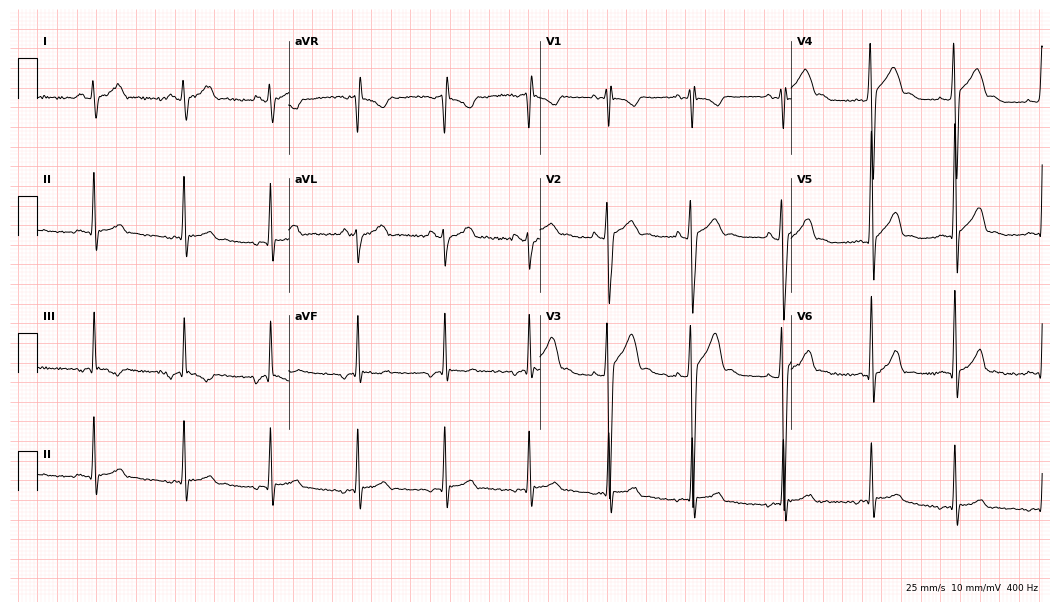
Standard 12-lead ECG recorded from a male patient, 17 years old. None of these six findings is recorded: first-degree AV block, right bundle branch block, left bundle branch block, sinus bradycardia, atrial fibrillation, sinus tachycardia. Only these six findings were labelled.